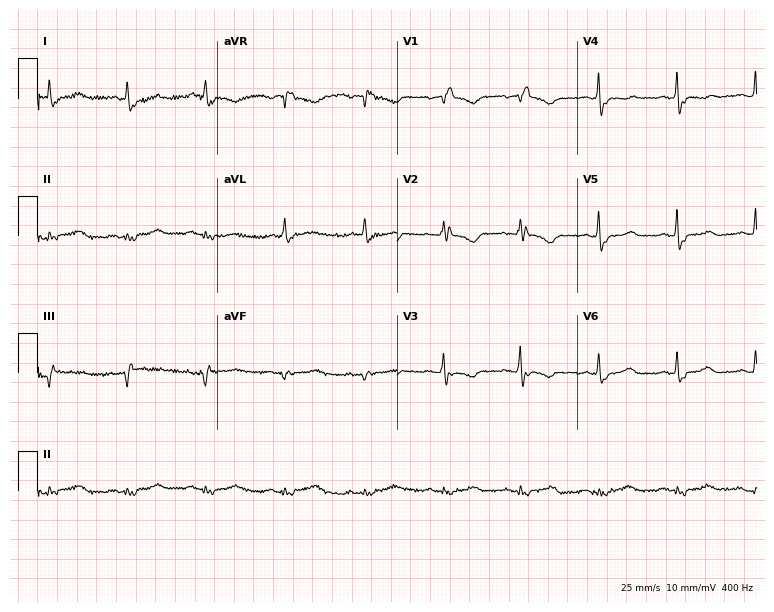
Electrocardiogram, a 62-year-old female. Interpretation includes right bundle branch block.